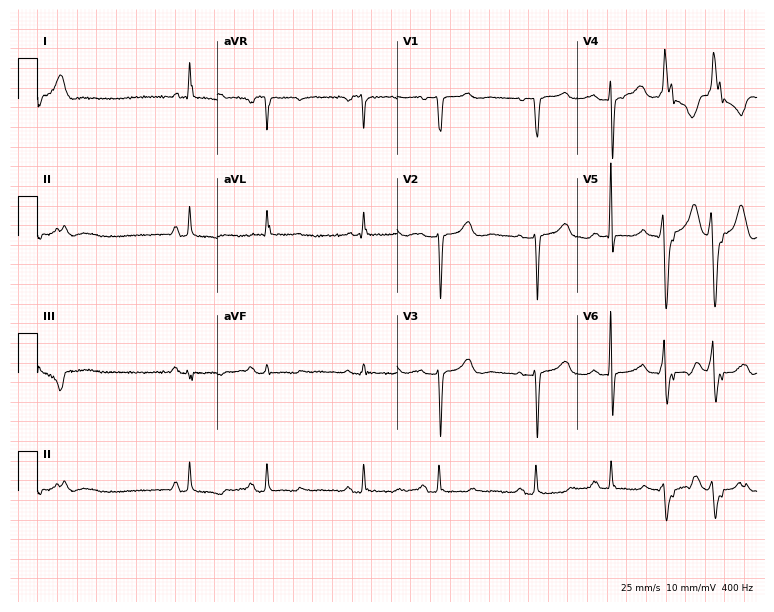
ECG — a woman, 74 years old. Screened for six findings — first-degree AV block, right bundle branch block, left bundle branch block, sinus bradycardia, atrial fibrillation, sinus tachycardia — none is recorded. Findings outside these six are not listed.